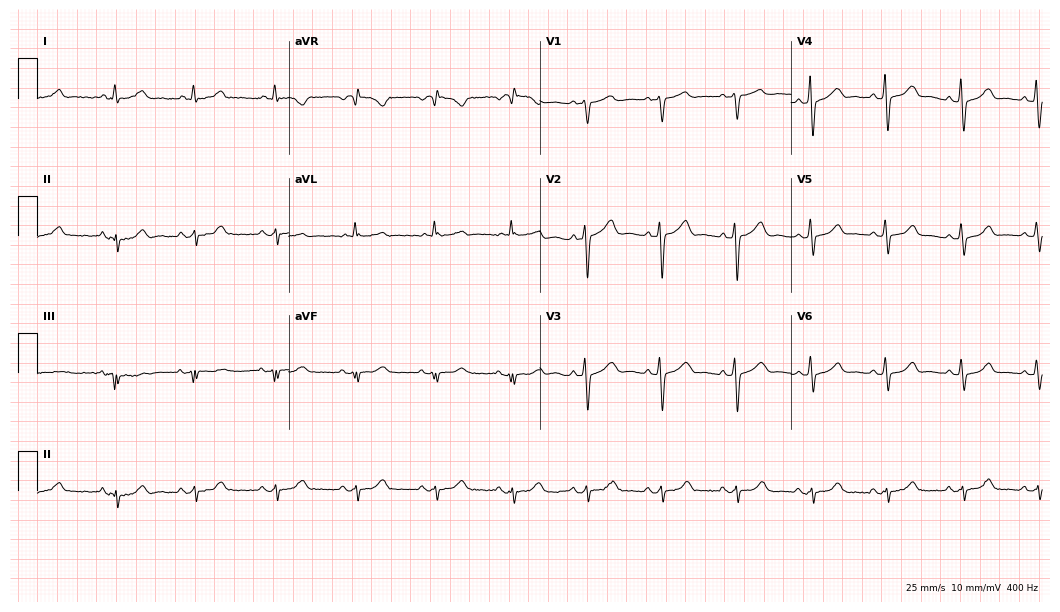
ECG — a 65-year-old female patient. Screened for six findings — first-degree AV block, right bundle branch block, left bundle branch block, sinus bradycardia, atrial fibrillation, sinus tachycardia — none is recorded. Findings outside these six are not listed.